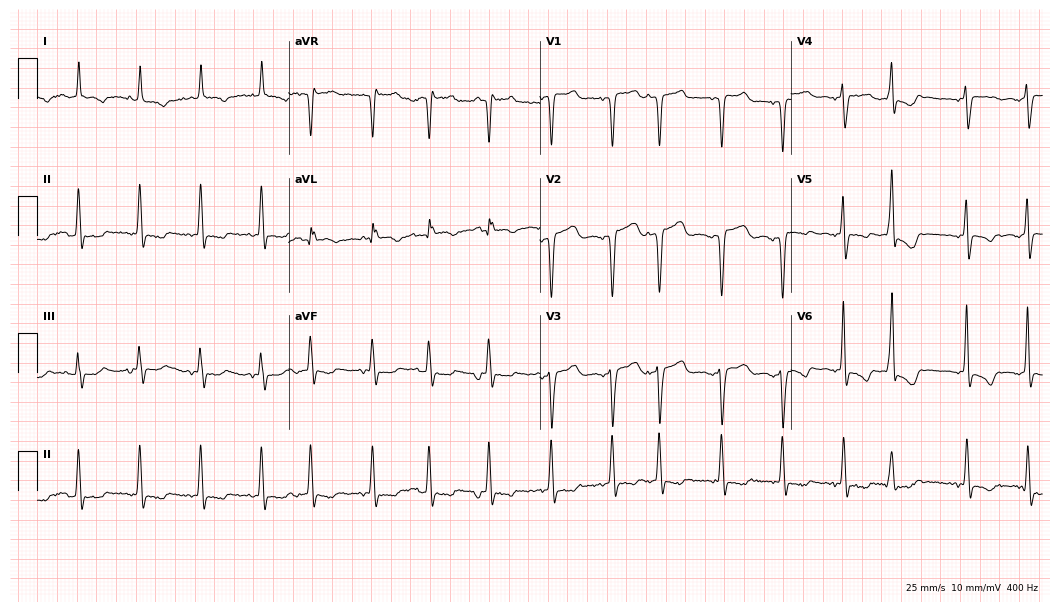
Resting 12-lead electrocardiogram (10.2-second recording at 400 Hz). Patient: an 84-year-old female. None of these six findings is recorded: first-degree AV block, right bundle branch block, left bundle branch block, sinus bradycardia, atrial fibrillation, sinus tachycardia.